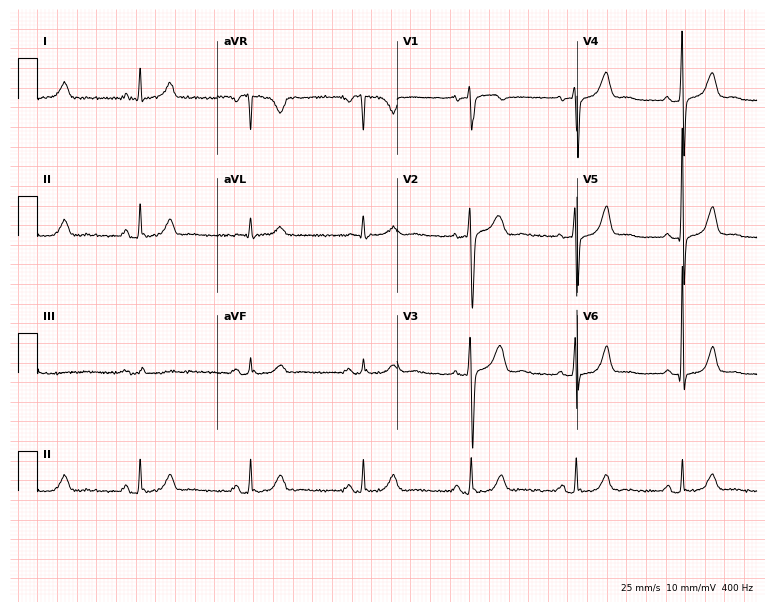
12-lead ECG from a 44-year-old woman (7.3-second recording at 400 Hz). Recorded interpretation: within normal limits.